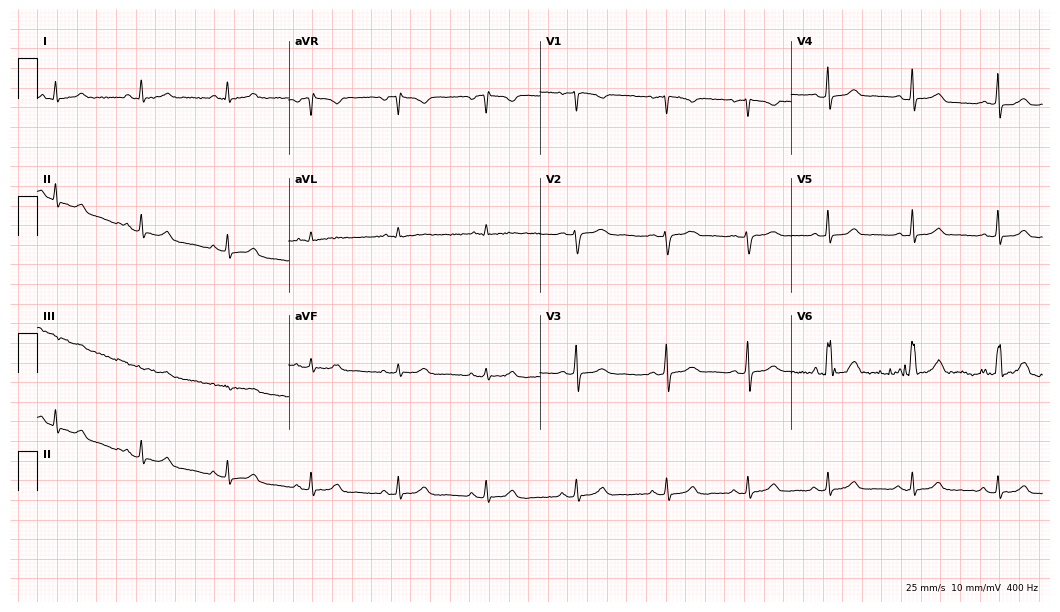
12-lead ECG from a 25-year-old female. Recorded interpretation: within normal limits.